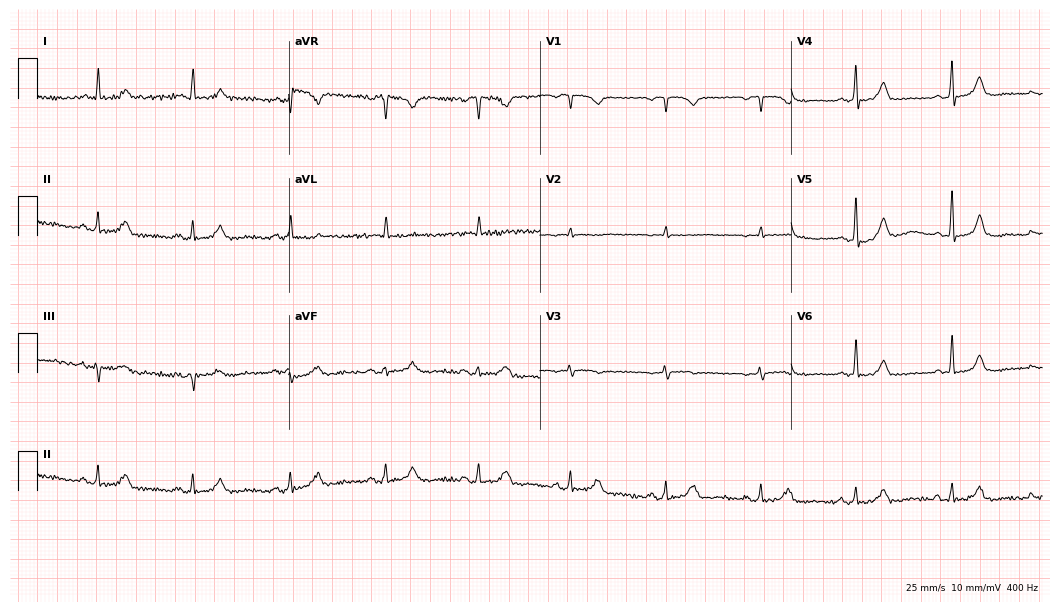
Resting 12-lead electrocardiogram. Patient: a 71-year-old woman. Read as a normal ECG.